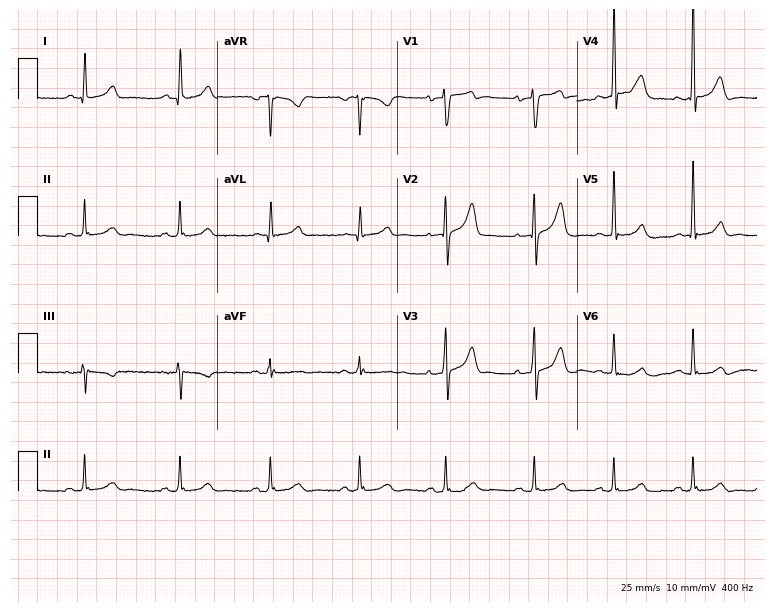
Resting 12-lead electrocardiogram (7.3-second recording at 400 Hz). Patient: a 47-year-old male. Read as a normal ECG.